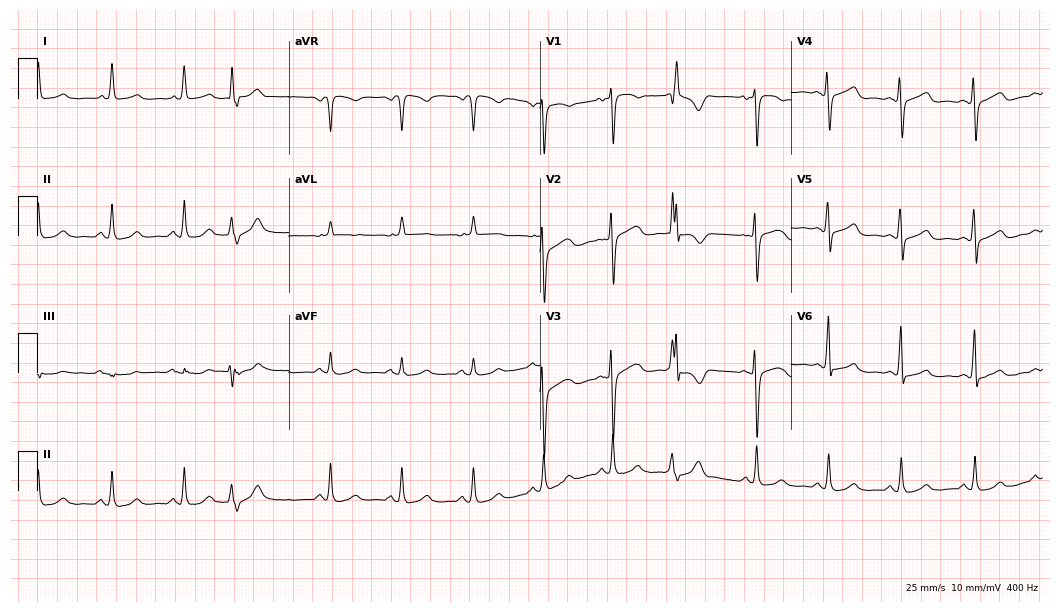
Standard 12-lead ECG recorded from a 66-year-old woman (10.2-second recording at 400 Hz). None of these six findings is recorded: first-degree AV block, right bundle branch block (RBBB), left bundle branch block (LBBB), sinus bradycardia, atrial fibrillation (AF), sinus tachycardia. Other findings, if any, are not listed.